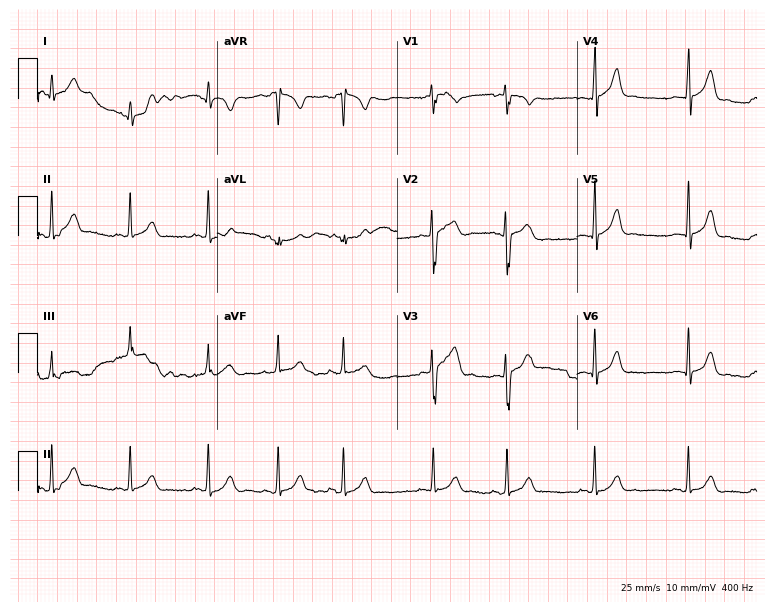
12-lead ECG from an 18-year-old female. Recorded interpretation: within normal limits.